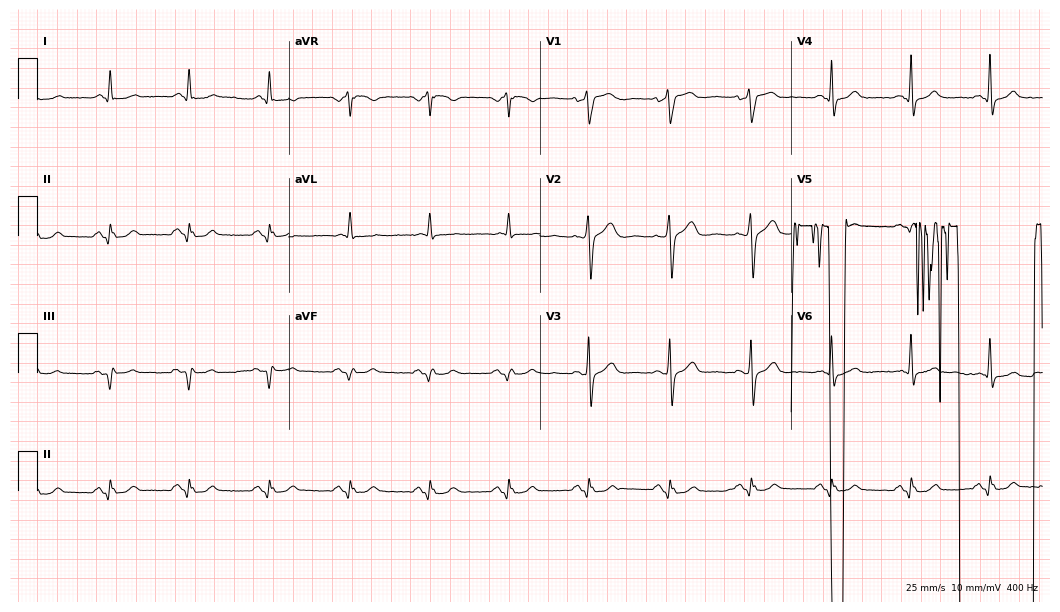
12-lead ECG from a male, 66 years old. Screened for six findings — first-degree AV block, right bundle branch block, left bundle branch block, sinus bradycardia, atrial fibrillation, sinus tachycardia — none is recorded. Findings outside these six are not listed.